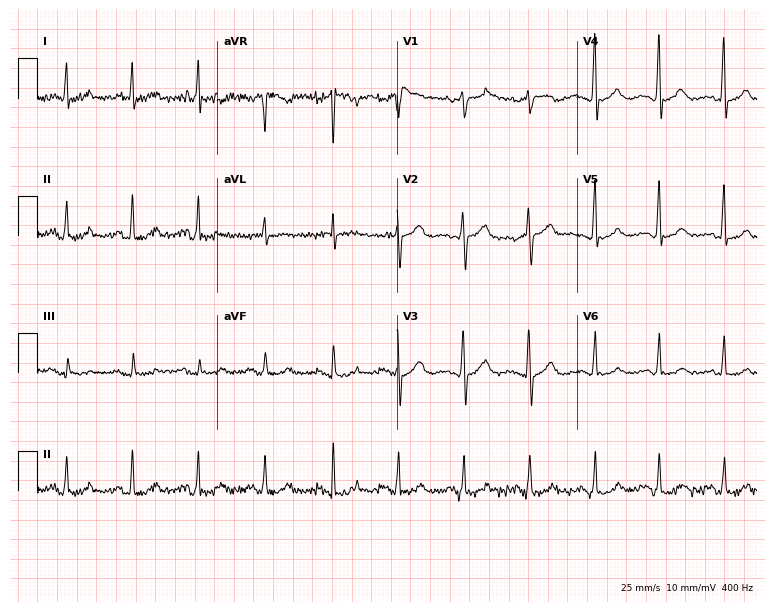
12-lead ECG from an 82-year-old female. Labelled as a normal ECG.